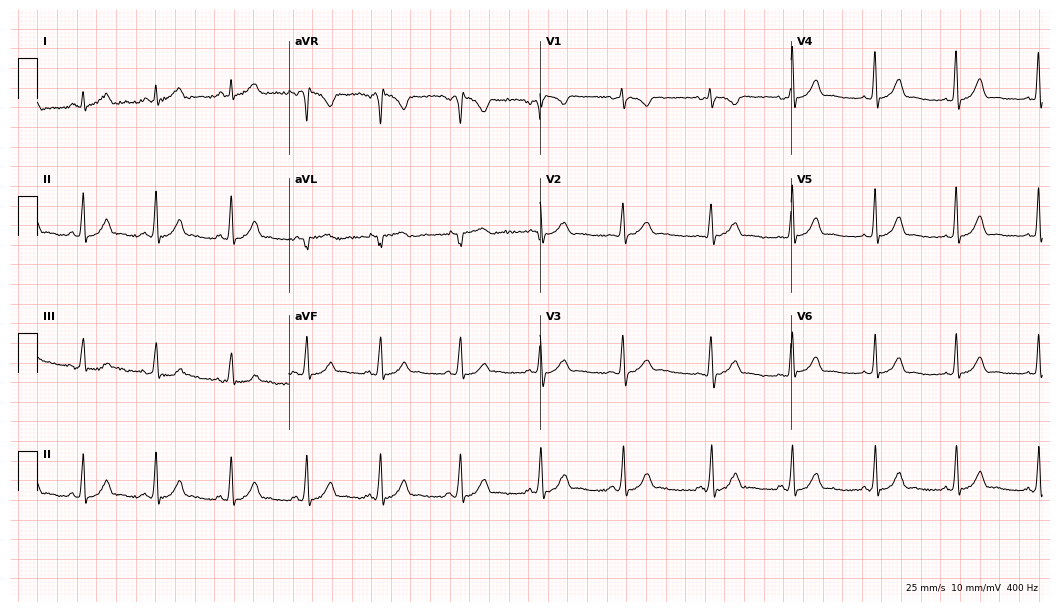
Standard 12-lead ECG recorded from a woman, 31 years old. Read as a normal ECG.